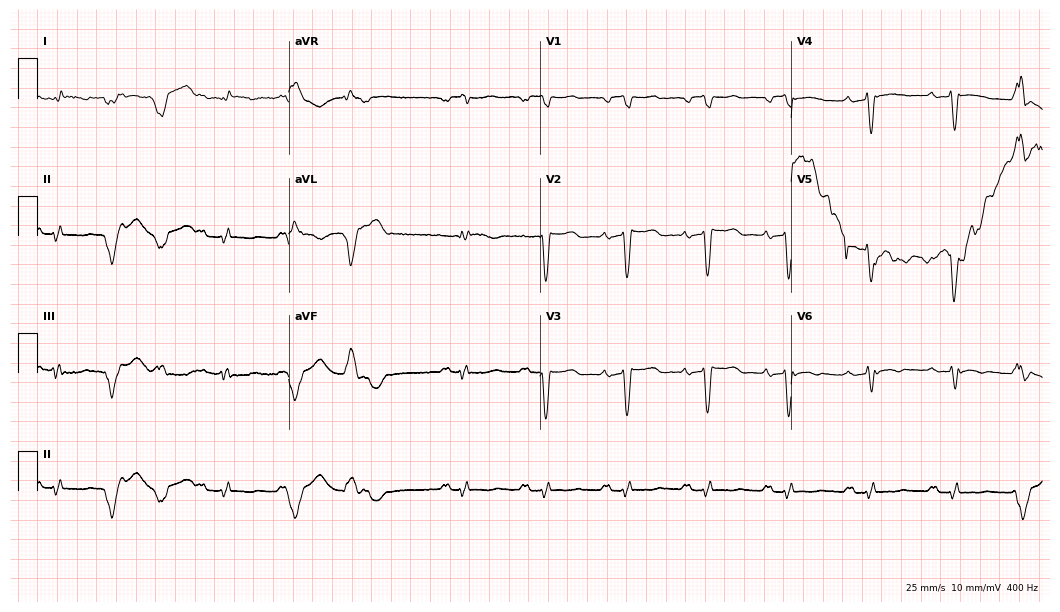
12-lead ECG from a male patient, 67 years old. No first-degree AV block, right bundle branch block (RBBB), left bundle branch block (LBBB), sinus bradycardia, atrial fibrillation (AF) or sinus tachycardia recorded for this tracing.